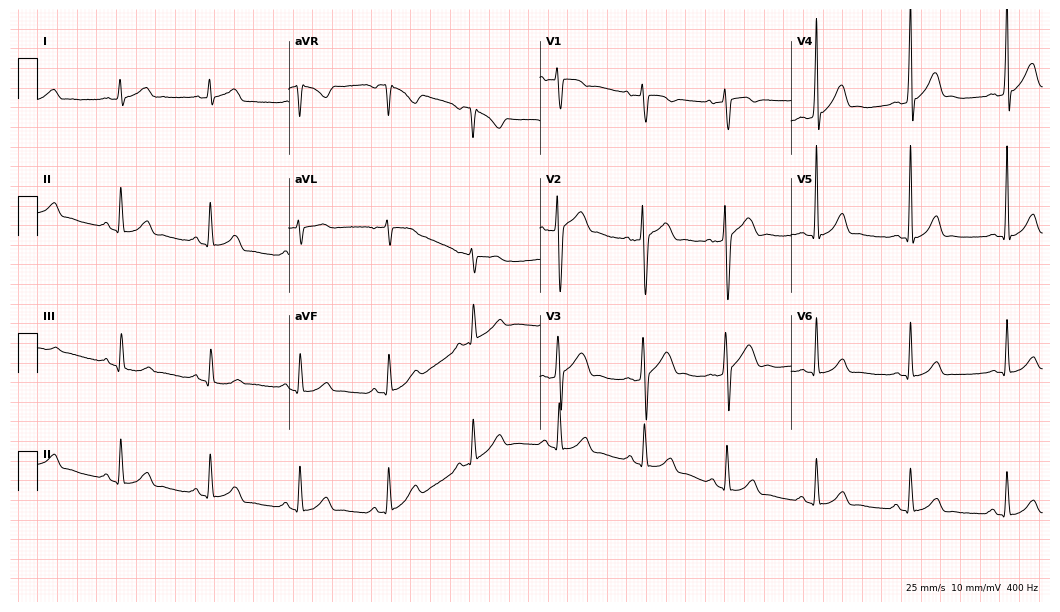
Standard 12-lead ECG recorded from a male patient, 19 years old (10.2-second recording at 400 Hz). Read as a normal ECG.